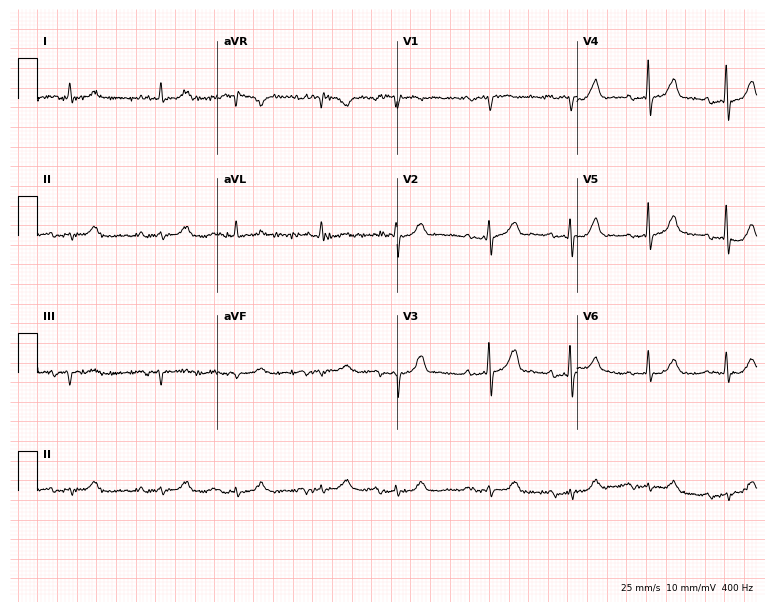
Electrocardiogram, an 84-year-old man. Of the six screened findings (first-degree AV block, right bundle branch block (RBBB), left bundle branch block (LBBB), sinus bradycardia, atrial fibrillation (AF), sinus tachycardia), none is recorded.